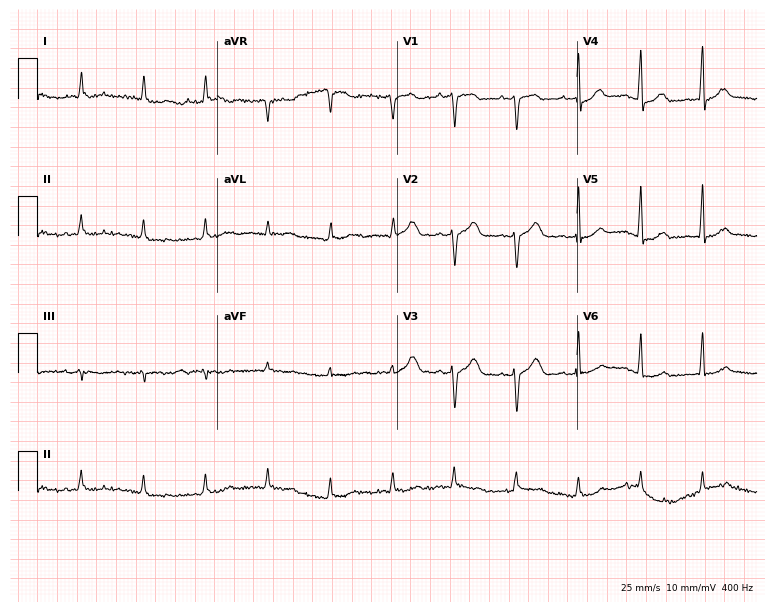
12-lead ECG (7.3-second recording at 400 Hz) from an 85-year-old woman. Screened for six findings — first-degree AV block, right bundle branch block, left bundle branch block, sinus bradycardia, atrial fibrillation, sinus tachycardia — none is recorded.